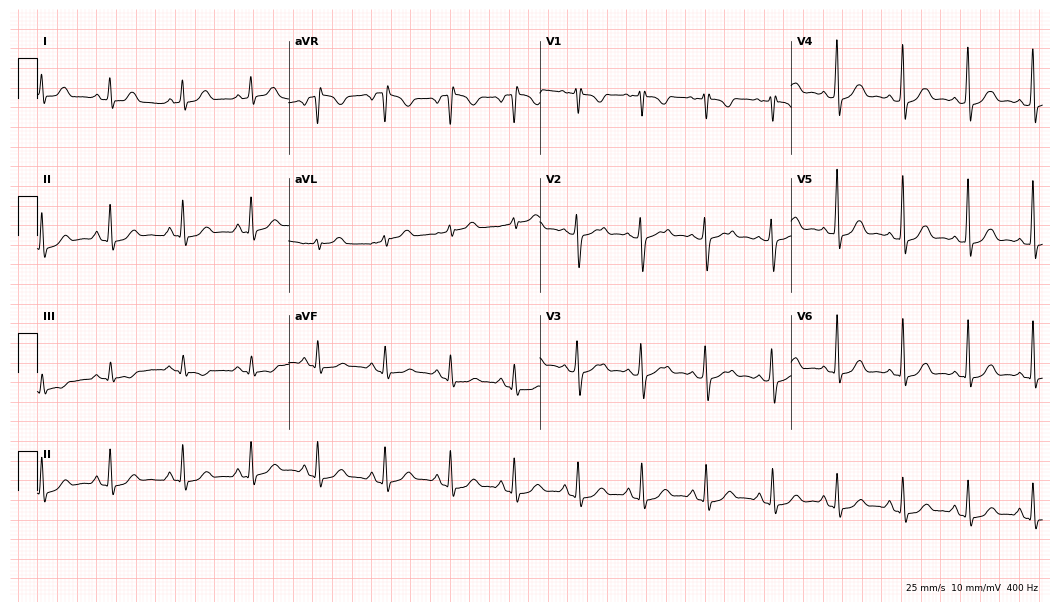
Electrocardiogram (10.2-second recording at 400 Hz), a female patient, 30 years old. Overall reading on record: normal ECG.